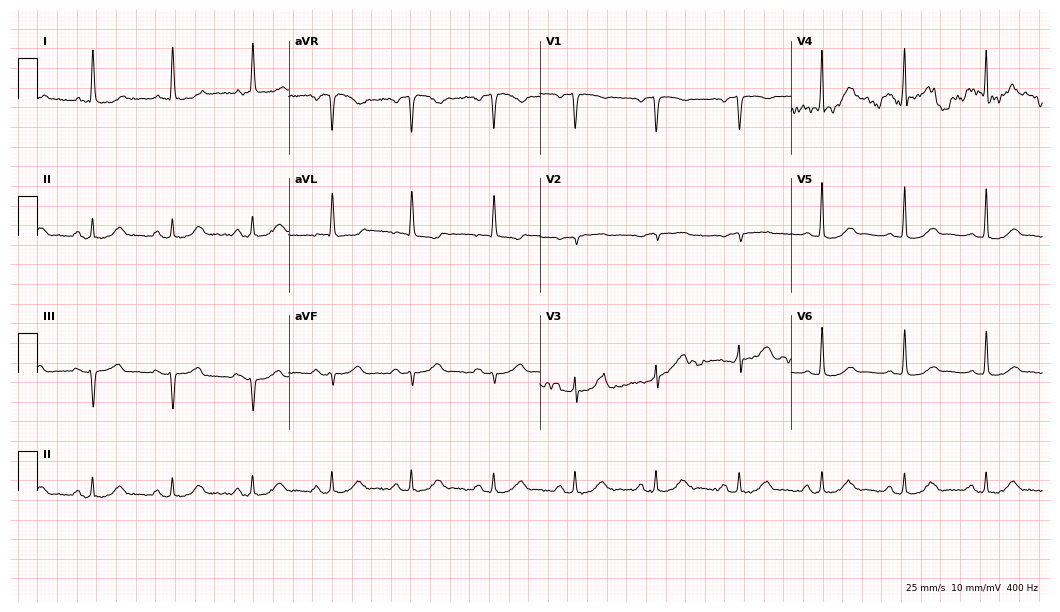
ECG (10.2-second recording at 400 Hz) — a 68-year-old female. Screened for six findings — first-degree AV block, right bundle branch block (RBBB), left bundle branch block (LBBB), sinus bradycardia, atrial fibrillation (AF), sinus tachycardia — none is recorded. Other findings, if any, are not listed.